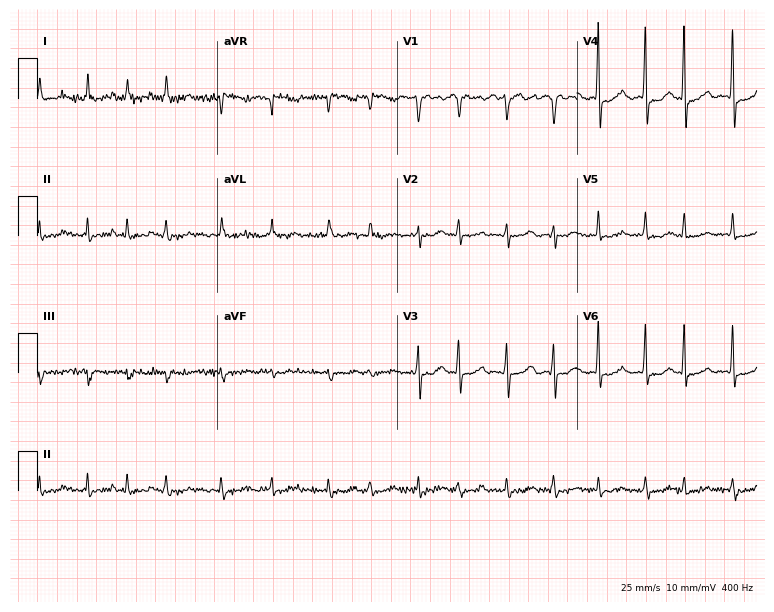
ECG — a woman, 82 years old. Findings include atrial fibrillation.